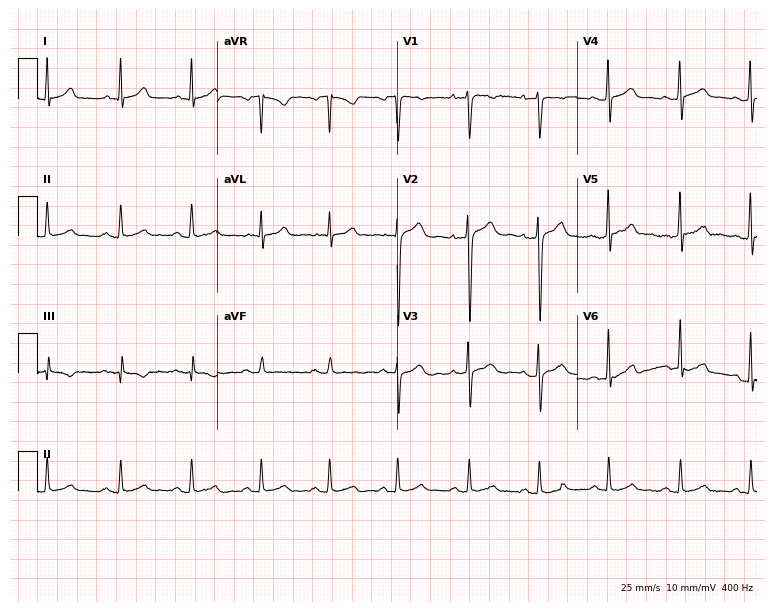
Standard 12-lead ECG recorded from a male, 31 years old (7.3-second recording at 400 Hz). Read as a normal ECG.